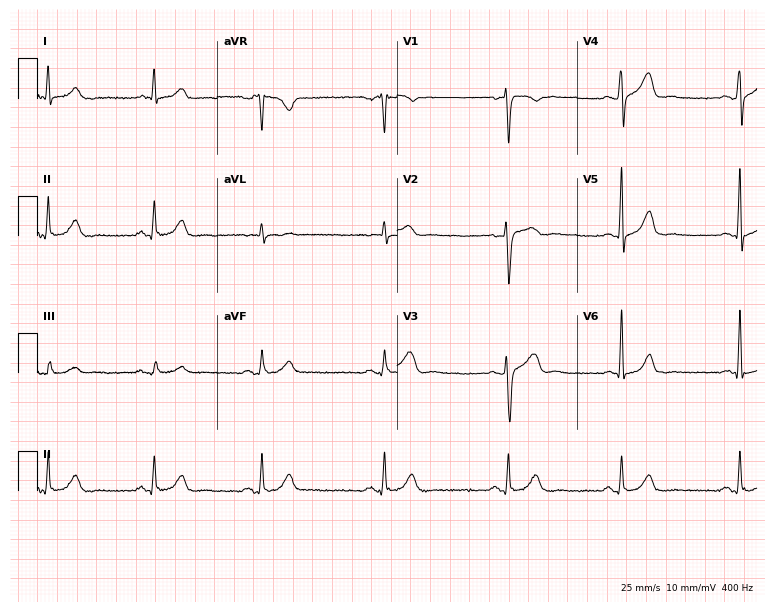
12-lead ECG from a 42-year-old man. Screened for six findings — first-degree AV block, right bundle branch block, left bundle branch block, sinus bradycardia, atrial fibrillation, sinus tachycardia — none is recorded.